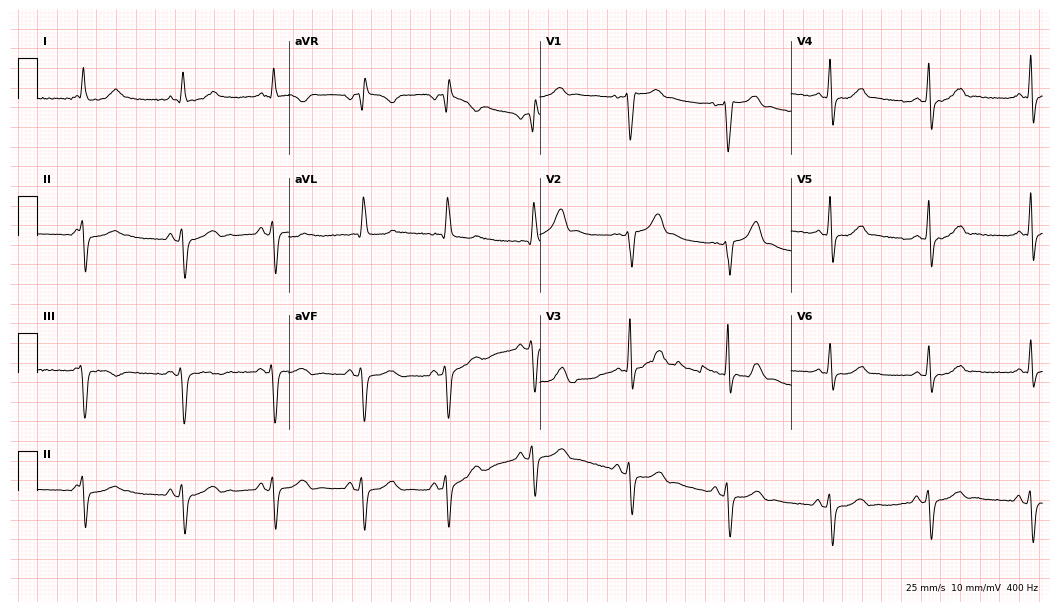
Standard 12-lead ECG recorded from a male patient, 50 years old (10.2-second recording at 400 Hz). None of these six findings is recorded: first-degree AV block, right bundle branch block (RBBB), left bundle branch block (LBBB), sinus bradycardia, atrial fibrillation (AF), sinus tachycardia.